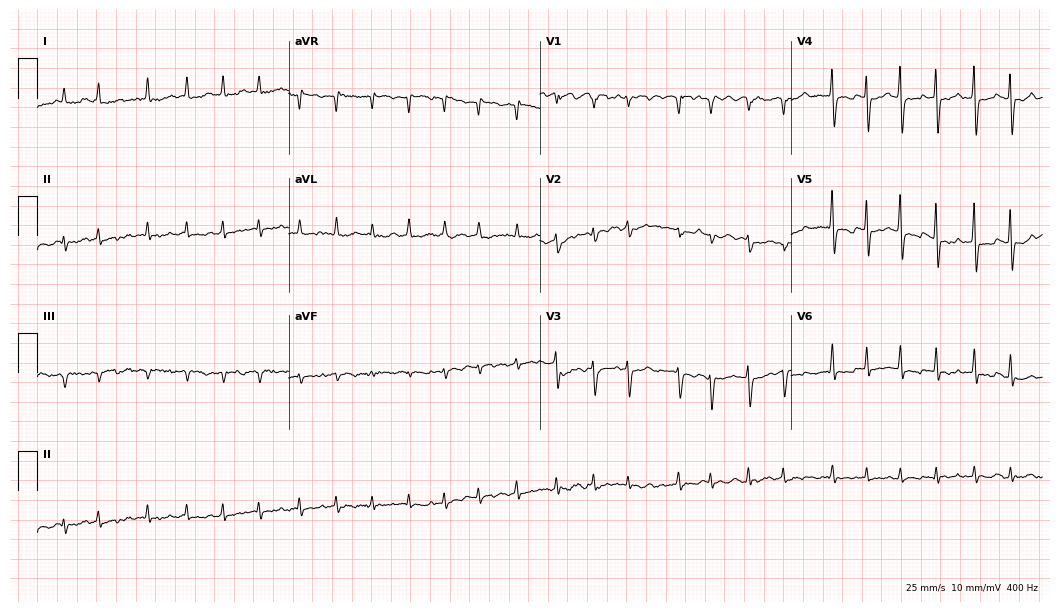
Electrocardiogram (10.2-second recording at 400 Hz), an 83-year-old female patient. Interpretation includes atrial fibrillation (AF).